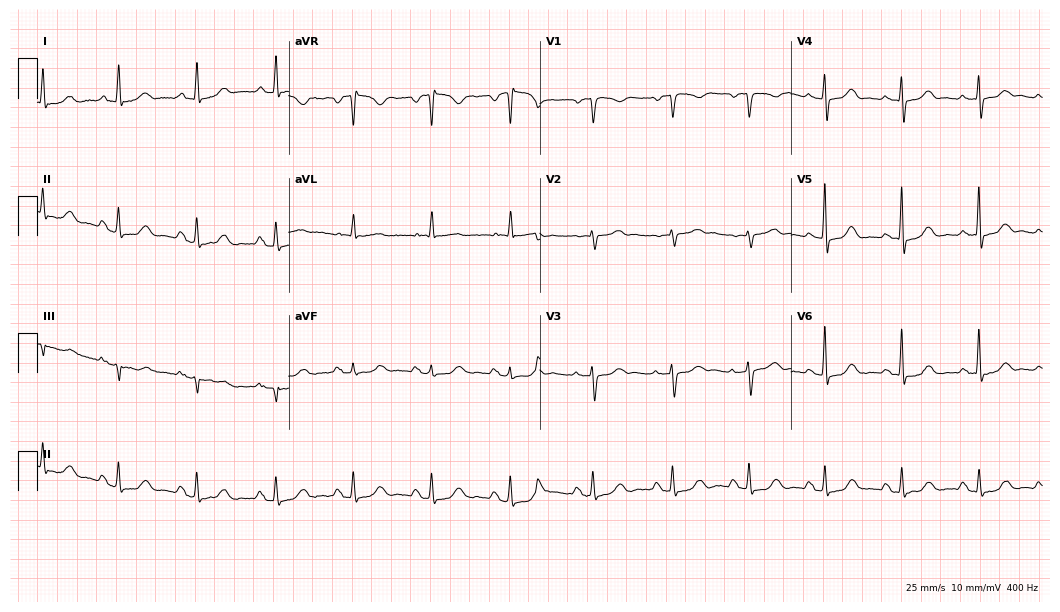
Resting 12-lead electrocardiogram. Patient: a female, 83 years old. Read as a normal ECG.